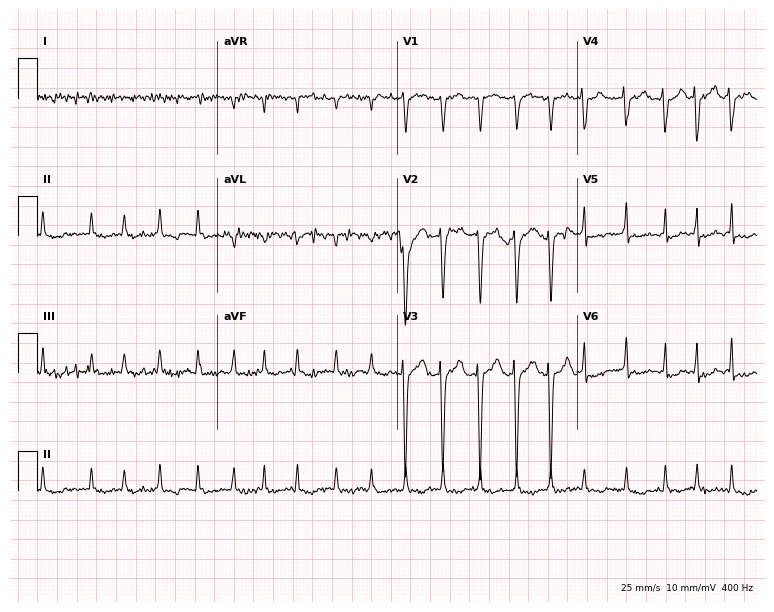
ECG — a male patient, 71 years old. Screened for six findings — first-degree AV block, right bundle branch block, left bundle branch block, sinus bradycardia, atrial fibrillation, sinus tachycardia — none is recorded.